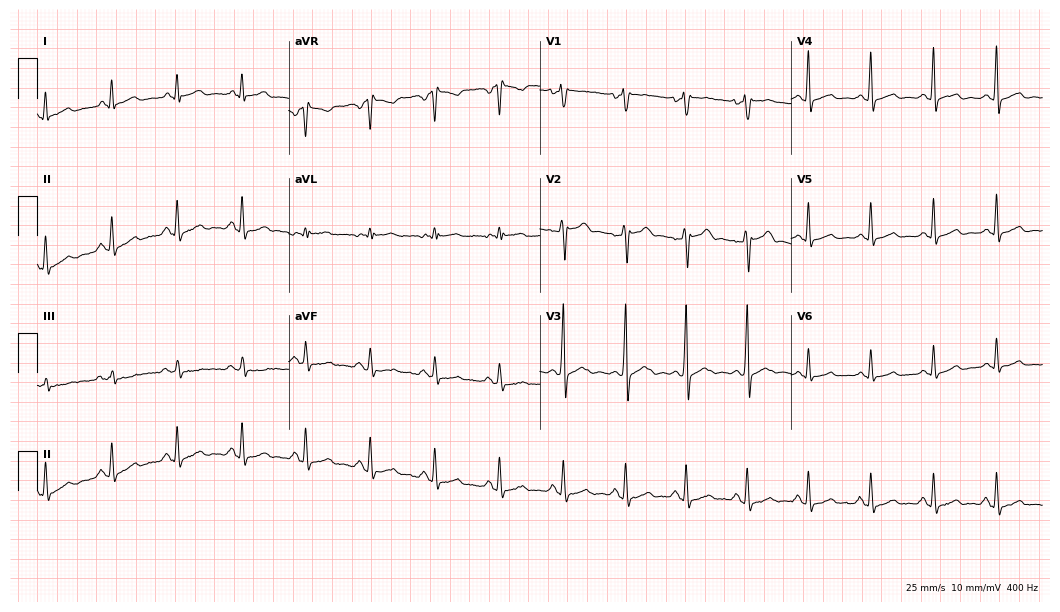
12-lead ECG (10.2-second recording at 400 Hz) from a 25-year-old male patient. Labelled as a normal ECG.